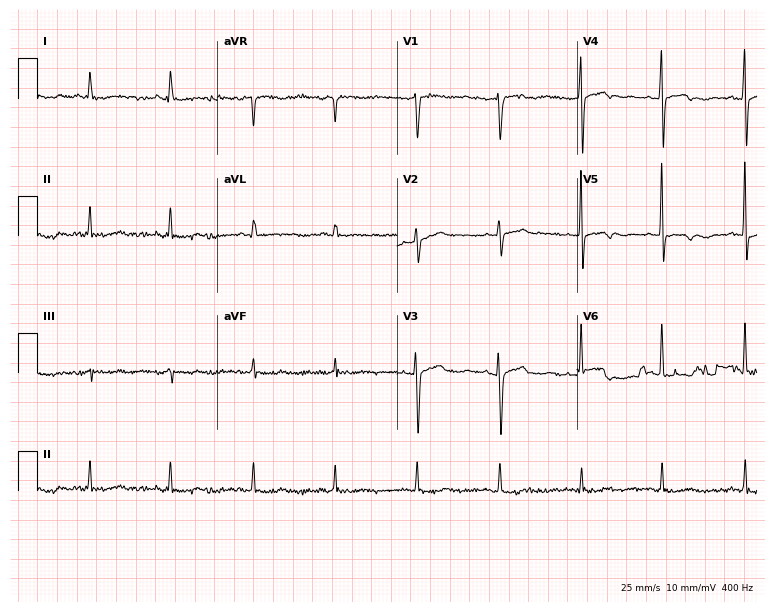
Resting 12-lead electrocardiogram (7.3-second recording at 400 Hz). Patient: a 63-year-old female. None of these six findings is recorded: first-degree AV block, right bundle branch block, left bundle branch block, sinus bradycardia, atrial fibrillation, sinus tachycardia.